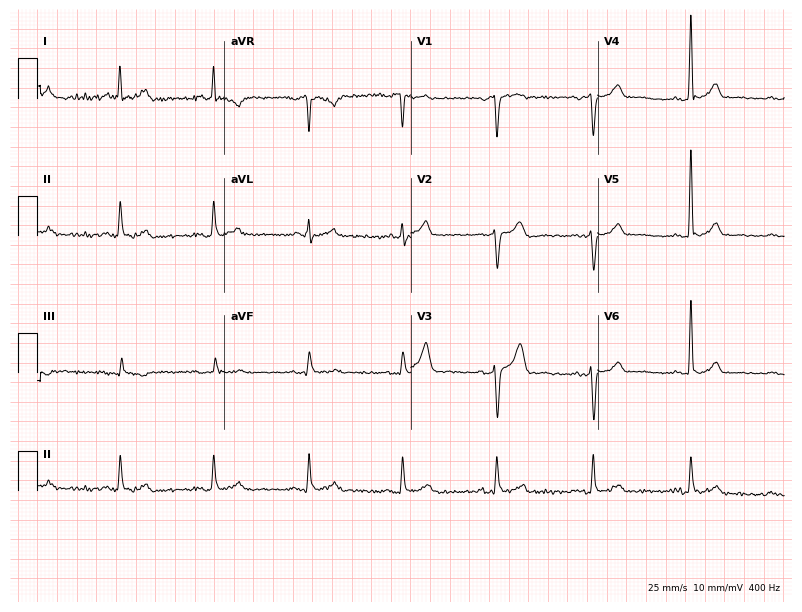
12-lead ECG from a man, 47 years old. Recorded interpretation: within normal limits.